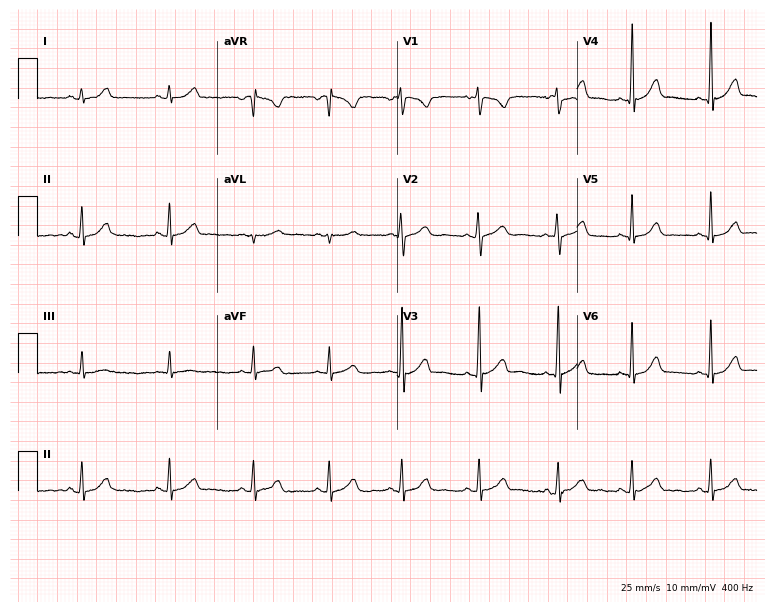
ECG (7.3-second recording at 400 Hz) — a female, 19 years old. Screened for six findings — first-degree AV block, right bundle branch block, left bundle branch block, sinus bradycardia, atrial fibrillation, sinus tachycardia — none is recorded.